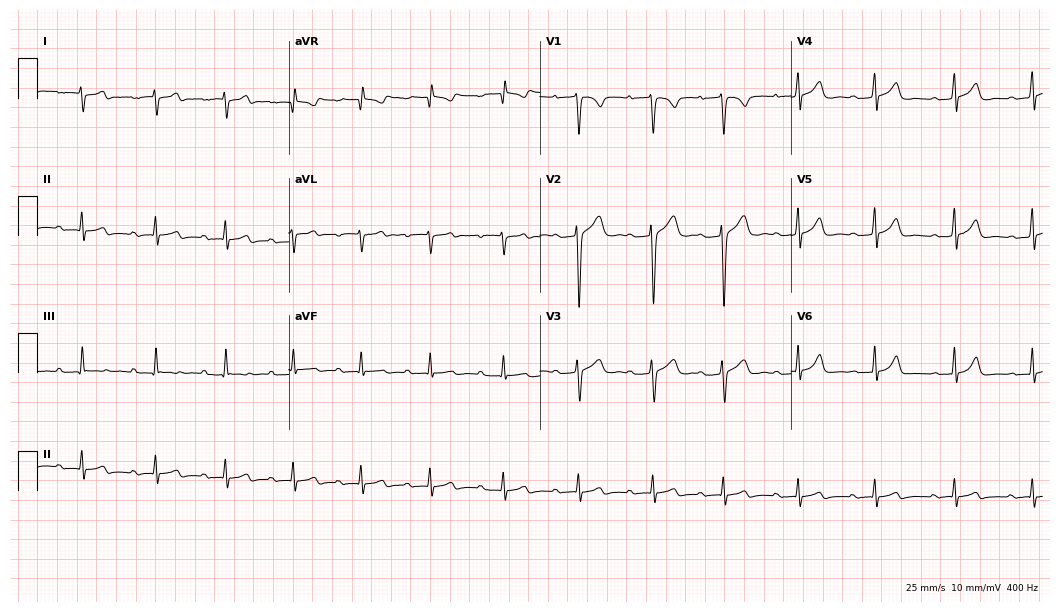
12-lead ECG from a 17-year-old woman. Shows first-degree AV block.